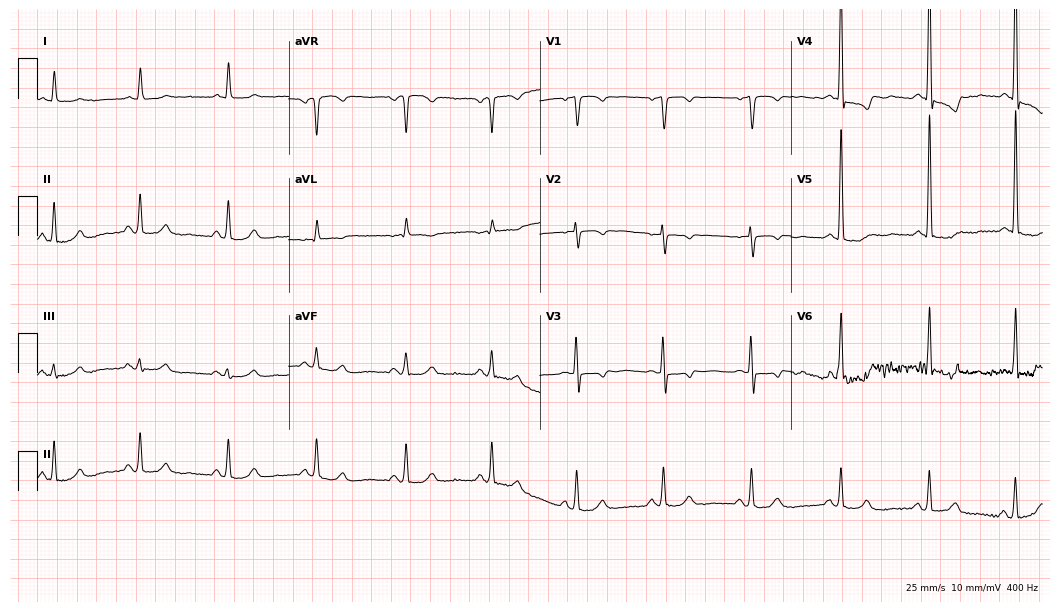
Resting 12-lead electrocardiogram. Patient: a 72-year-old female. None of these six findings is recorded: first-degree AV block, right bundle branch block (RBBB), left bundle branch block (LBBB), sinus bradycardia, atrial fibrillation (AF), sinus tachycardia. Other findings, if any, are not listed.